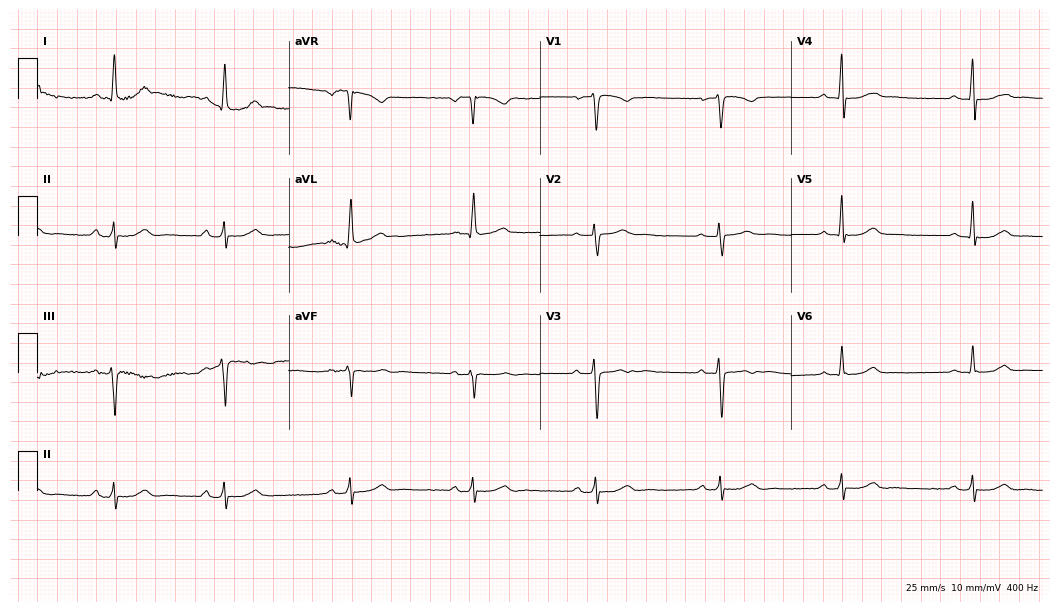
ECG (10.2-second recording at 400 Hz) — a 51-year-old female patient. Findings include sinus bradycardia (a sinus rate of 50 beats per minute or less).